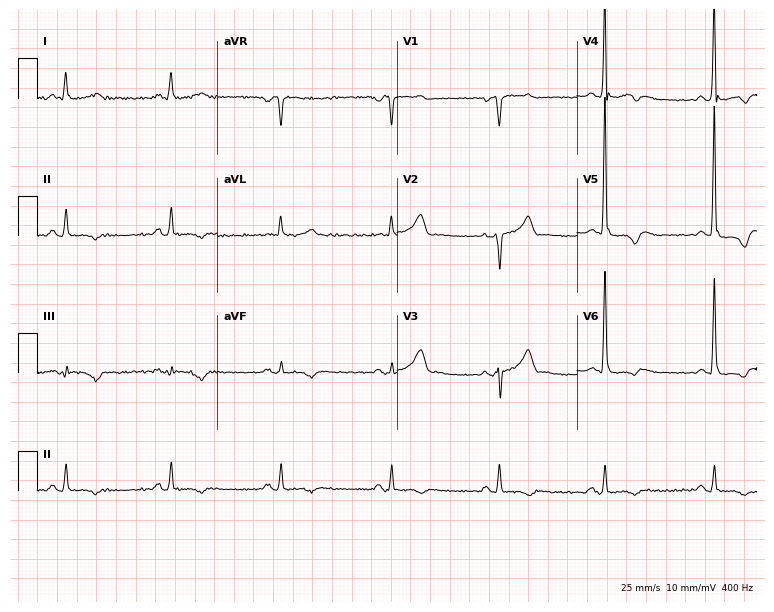
ECG (7.3-second recording at 400 Hz) — a man, 53 years old. Screened for six findings — first-degree AV block, right bundle branch block (RBBB), left bundle branch block (LBBB), sinus bradycardia, atrial fibrillation (AF), sinus tachycardia — none is recorded. Findings outside these six are not listed.